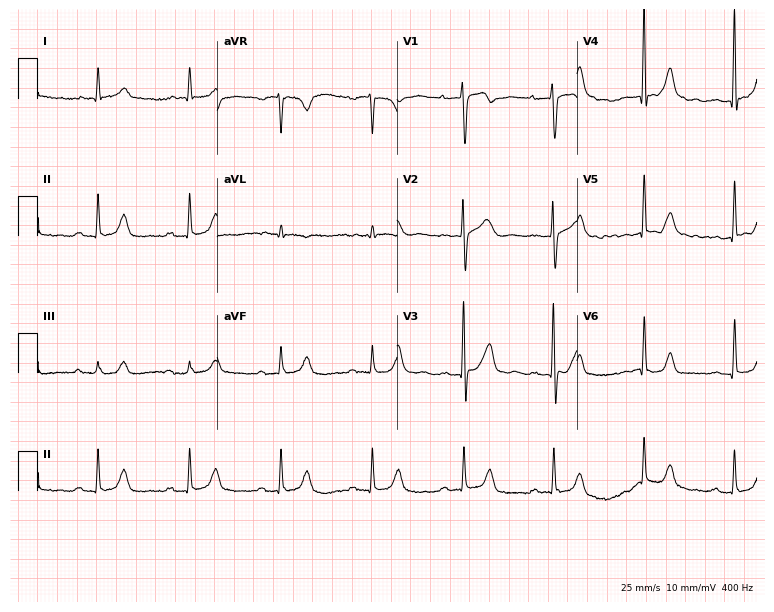
ECG — a 67-year-old female. Findings include first-degree AV block.